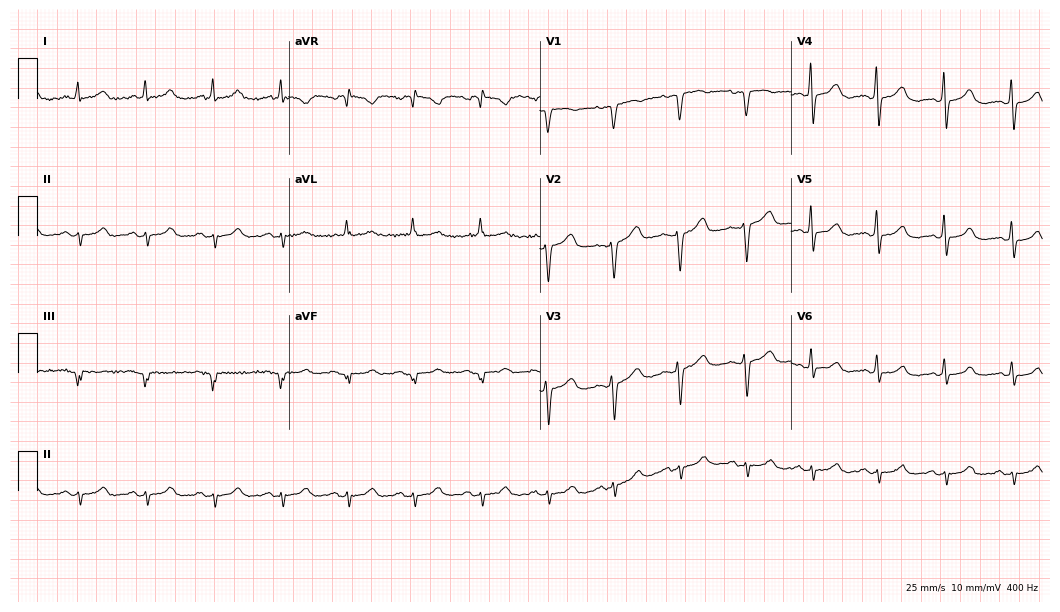
Standard 12-lead ECG recorded from a 66-year-old female patient (10.2-second recording at 400 Hz). Read as a normal ECG.